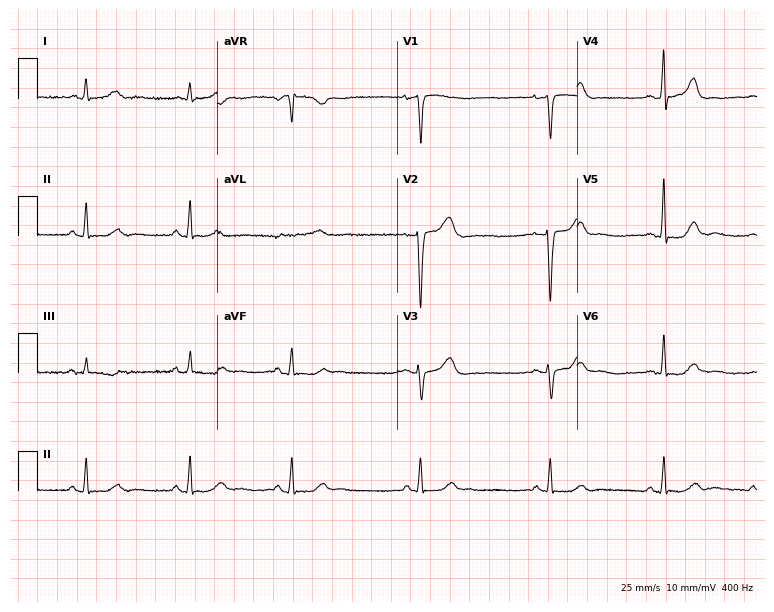
12-lead ECG from a female patient, 38 years old. Labelled as a normal ECG.